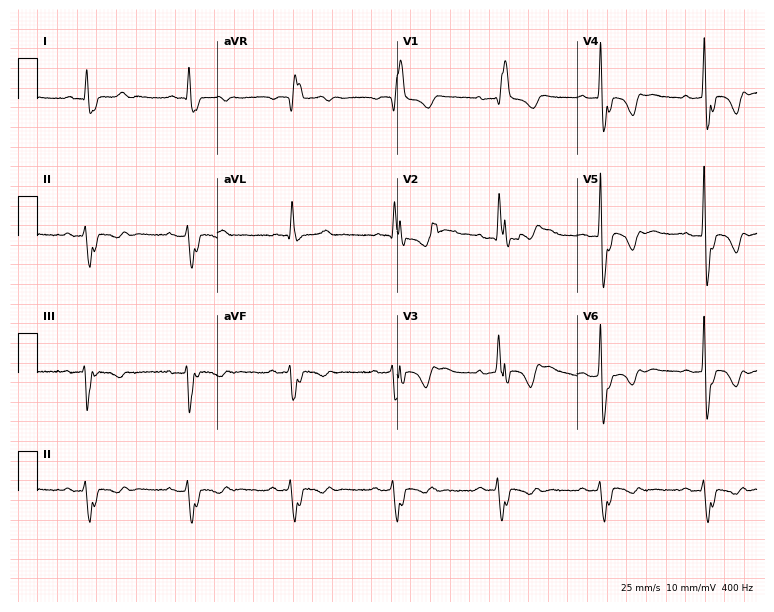
Electrocardiogram (7.3-second recording at 400 Hz), a man, 69 years old. Interpretation includes right bundle branch block, left bundle branch block.